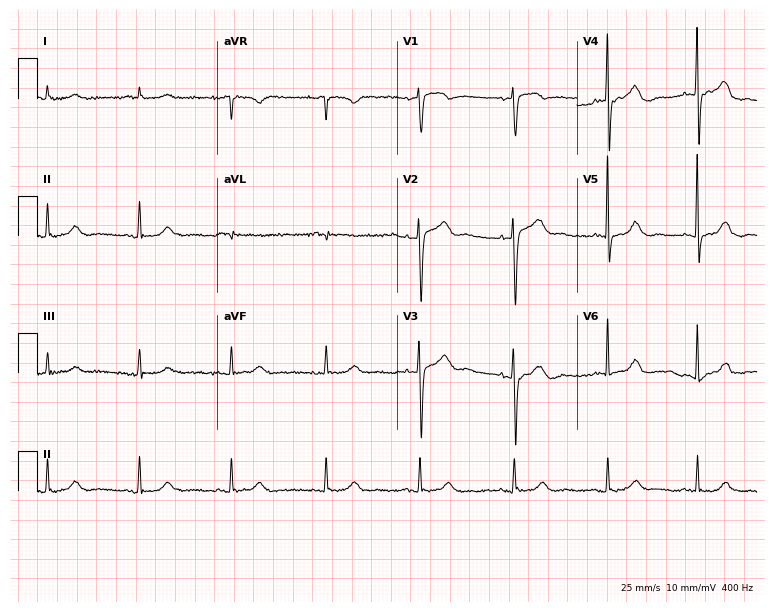
ECG — a female patient, 80 years old. Labelled as a normal ECG.